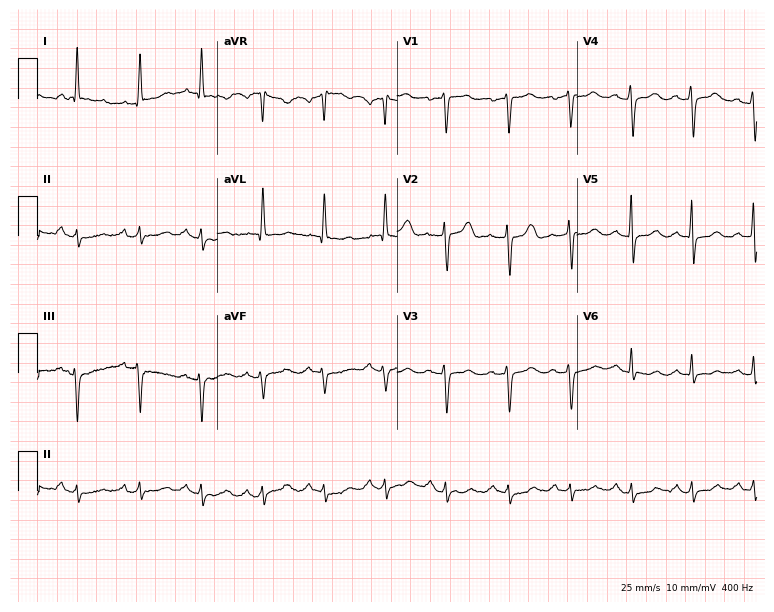
ECG (7.3-second recording at 400 Hz) — a female patient, 64 years old. Labelled as a normal ECG.